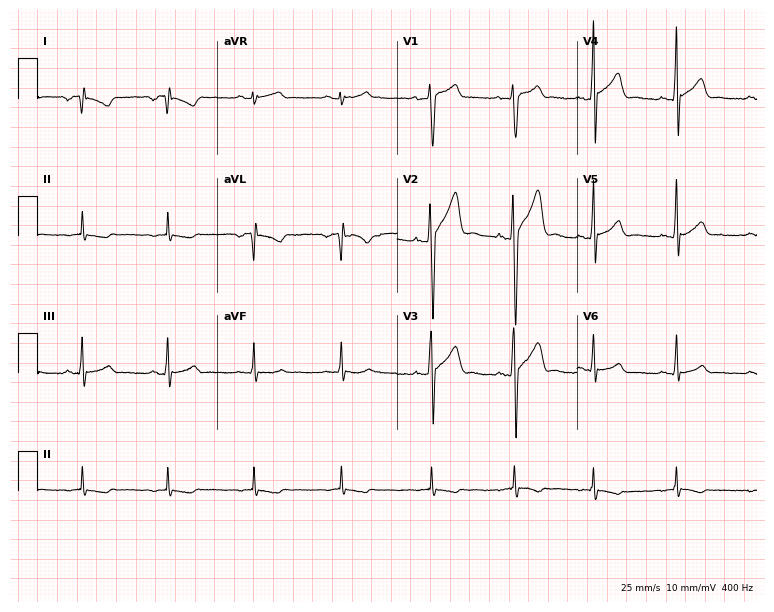
ECG (7.3-second recording at 400 Hz) — a male patient, 29 years old. Screened for six findings — first-degree AV block, right bundle branch block (RBBB), left bundle branch block (LBBB), sinus bradycardia, atrial fibrillation (AF), sinus tachycardia — none is recorded.